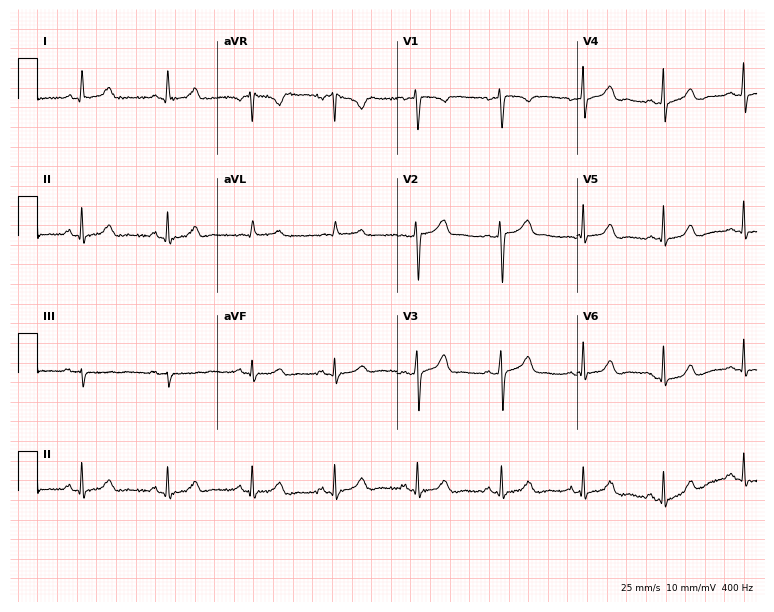
Standard 12-lead ECG recorded from a 33-year-old female patient (7.3-second recording at 400 Hz). Read as a normal ECG.